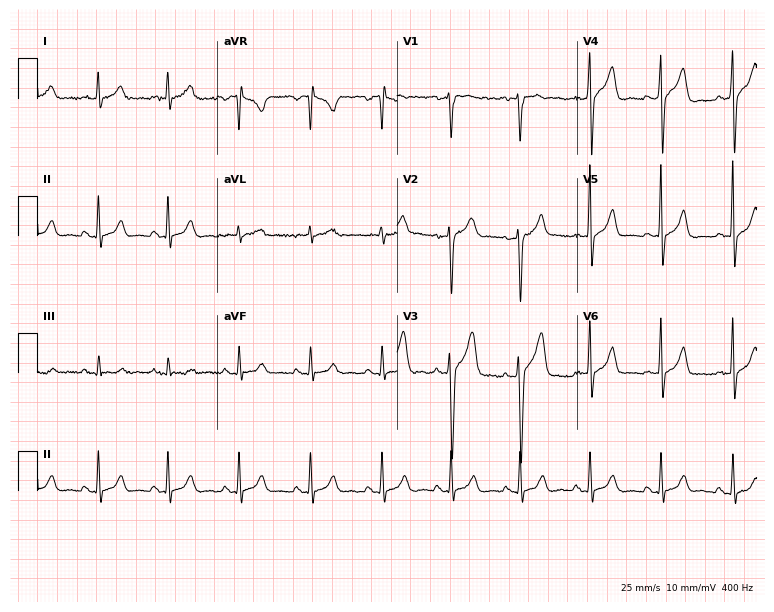
Electrocardiogram (7.3-second recording at 400 Hz), a 39-year-old man. Of the six screened findings (first-degree AV block, right bundle branch block, left bundle branch block, sinus bradycardia, atrial fibrillation, sinus tachycardia), none is recorded. Only these six findings were labelled.